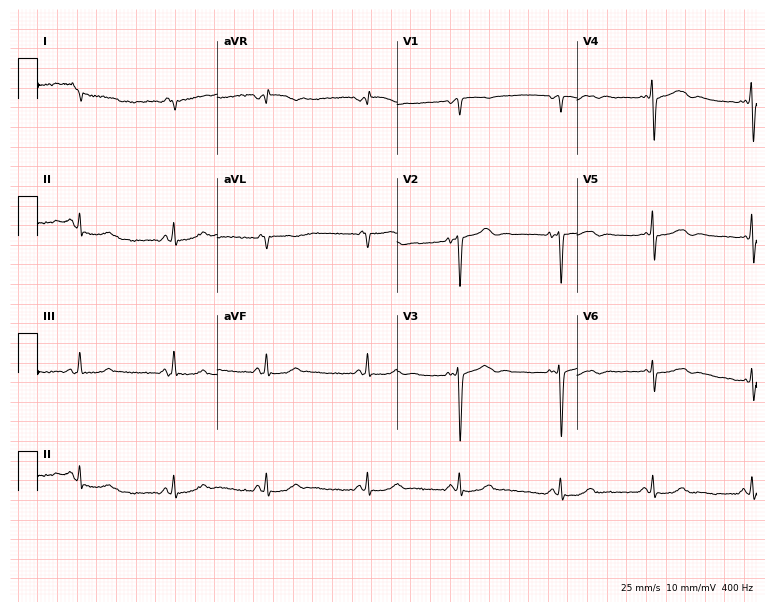
Electrocardiogram (7.3-second recording at 400 Hz), a 74-year-old female patient. Of the six screened findings (first-degree AV block, right bundle branch block (RBBB), left bundle branch block (LBBB), sinus bradycardia, atrial fibrillation (AF), sinus tachycardia), none is recorded.